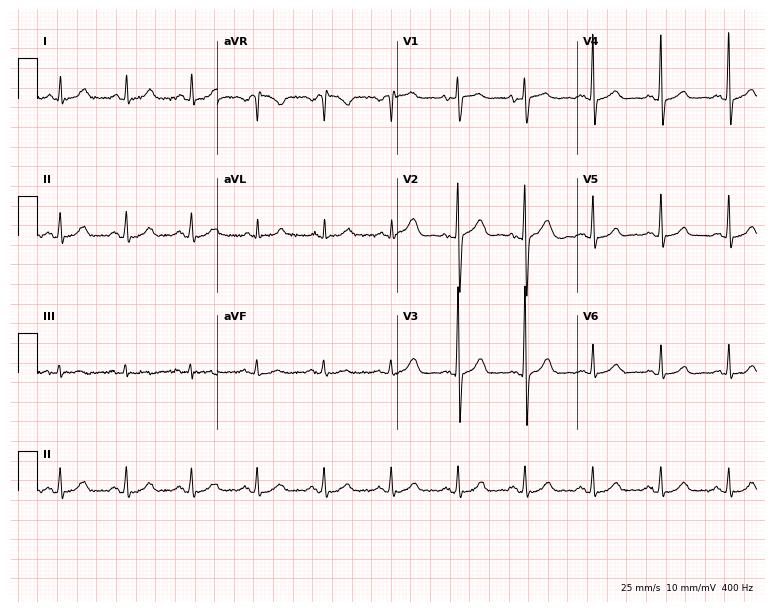
Electrocardiogram, an 83-year-old female. Overall reading on record: normal ECG.